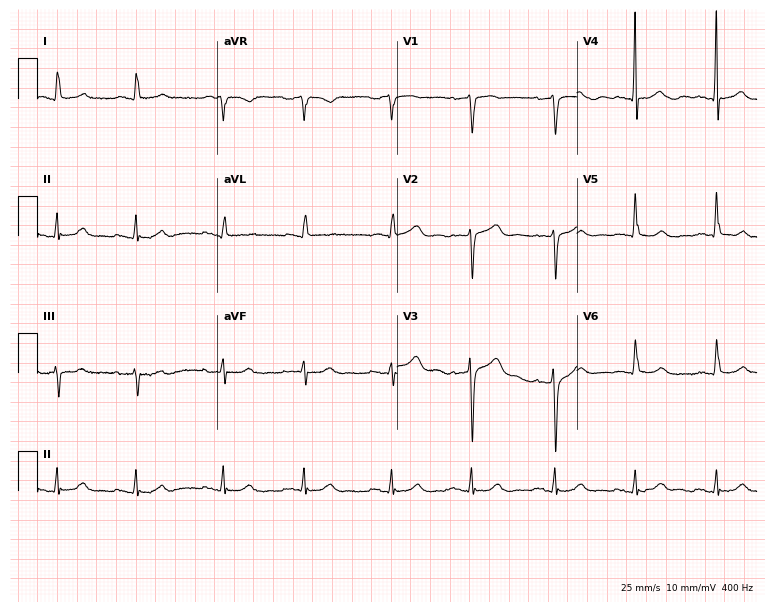
12-lead ECG (7.3-second recording at 400 Hz) from a female patient, 77 years old. Labelled as a normal ECG.